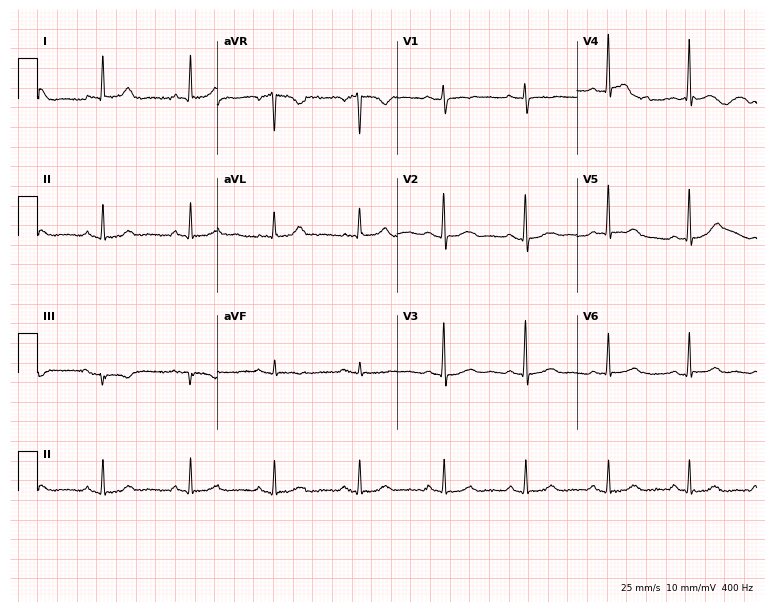
12-lead ECG (7.3-second recording at 400 Hz) from a 56-year-old female. Labelled as a normal ECG.